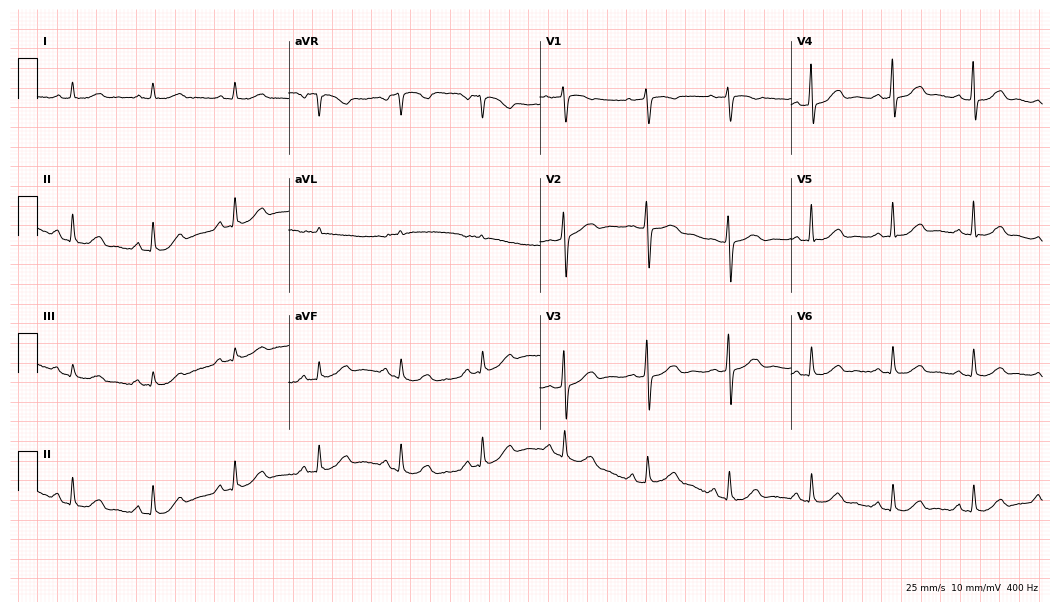
Standard 12-lead ECG recorded from a 52-year-old woman (10.2-second recording at 400 Hz). None of these six findings is recorded: first-degree AV block, right bundle branch block, left bundle branch block, sinus bradycardia, atrial fibrillation, sinus tachycardia. Only these six findings were labelled.